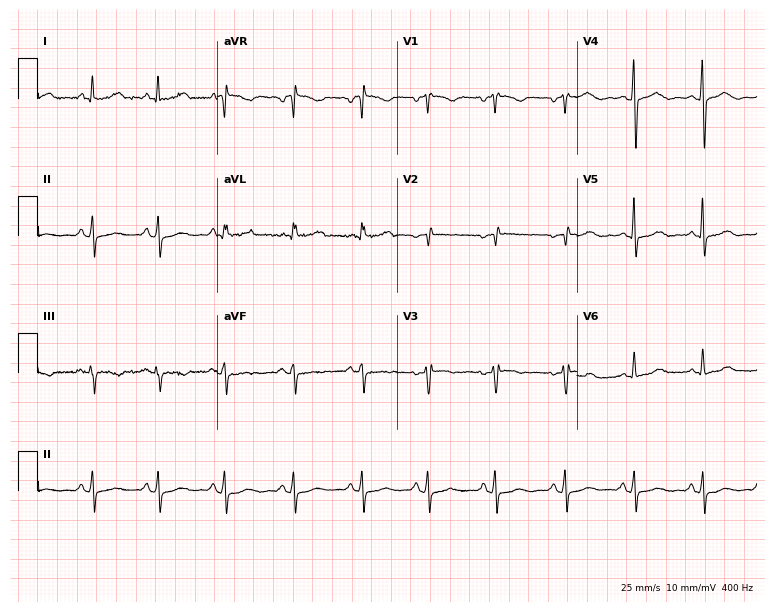
Resting 12-lead electrocardiogram. Patient: a woman, 64 years old. None of these six findings is recorded: first-degree AV block, right bundle branch block (RBBB), left bundle branch block (LBBB), sinus bradycardia, atrial fibrillation (AF), sinus tachycardia. Findings outside these six are not listed.